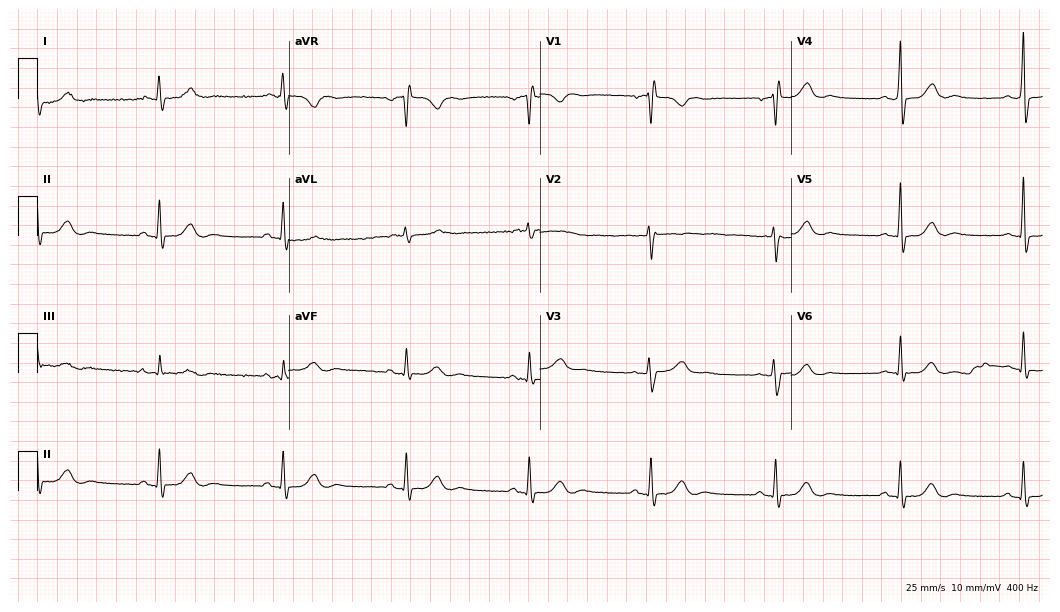
12-lead ECG from a 60-year-old woman (10.2-second recording at 400 Hz). Shows sinus bradycardia (a sinus rate of 50 beats per minute or less).